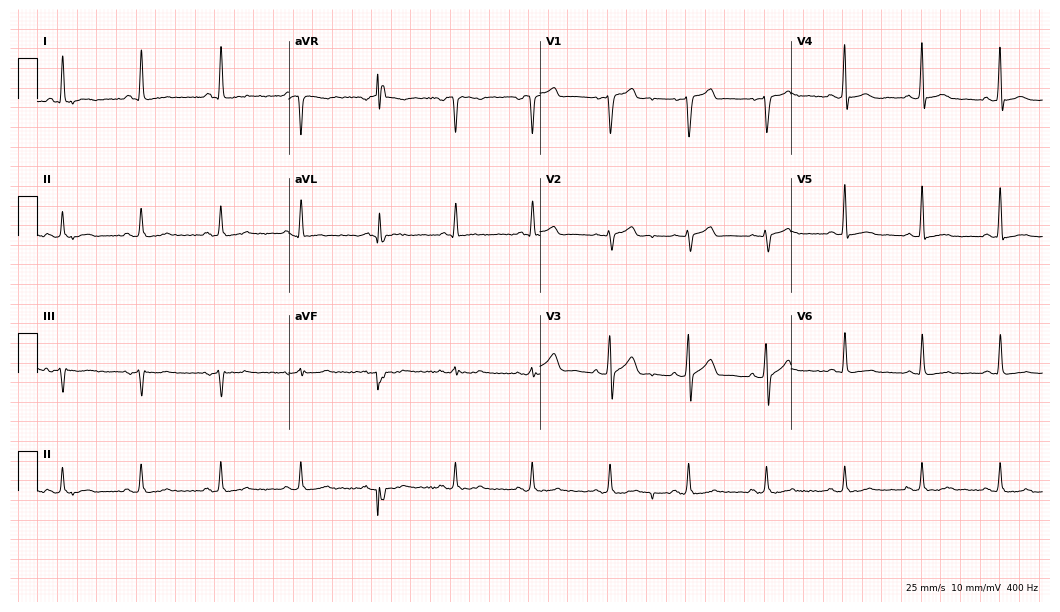
12-lead ECG from a 46-year-old male. Recorded interpretation: within normal limits.